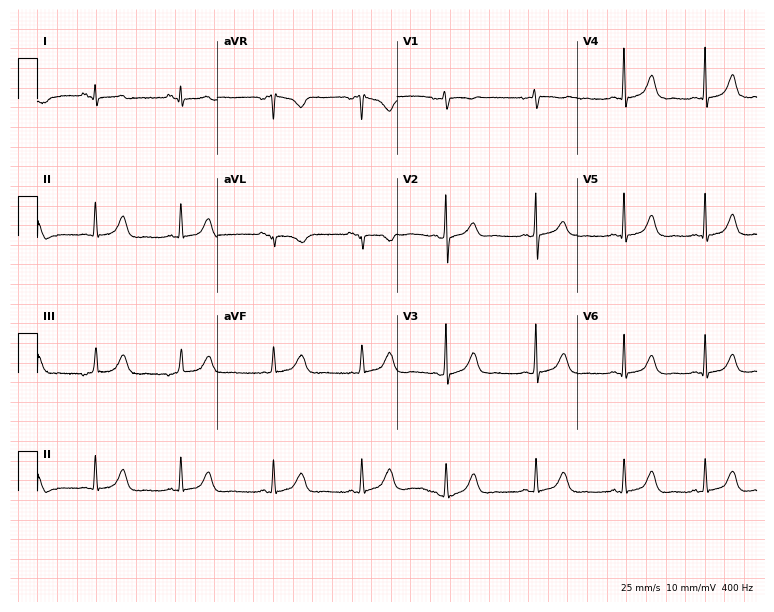
Electrocardiogram, a 17-year-old woman. Of the six screened findings (first-degree AV block, right bundle branch block (RBBB), left bundle branch block (LBBB), sinus bradycardia, atrial fibrillation (AF), sinus tachycardia), none is recorded. Other findings, if any, are not listed.